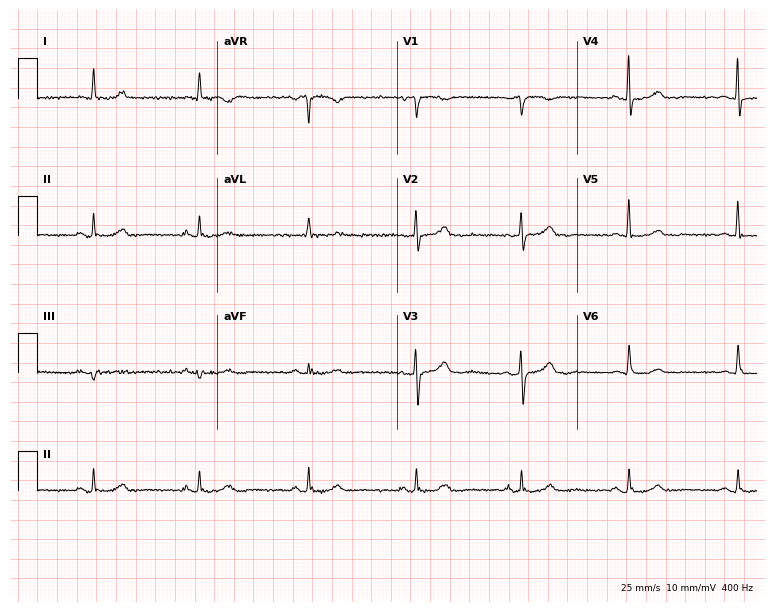
Electrocardiogram (7.3-second recording at 400 Hz), a female patient, 84 years old. Of the six screened findings (first-degree AV block, right bundle branch block, left bundle branch block, sinus bradycardia, atrial fibrillation, sinus tachycardia), none is recorded.